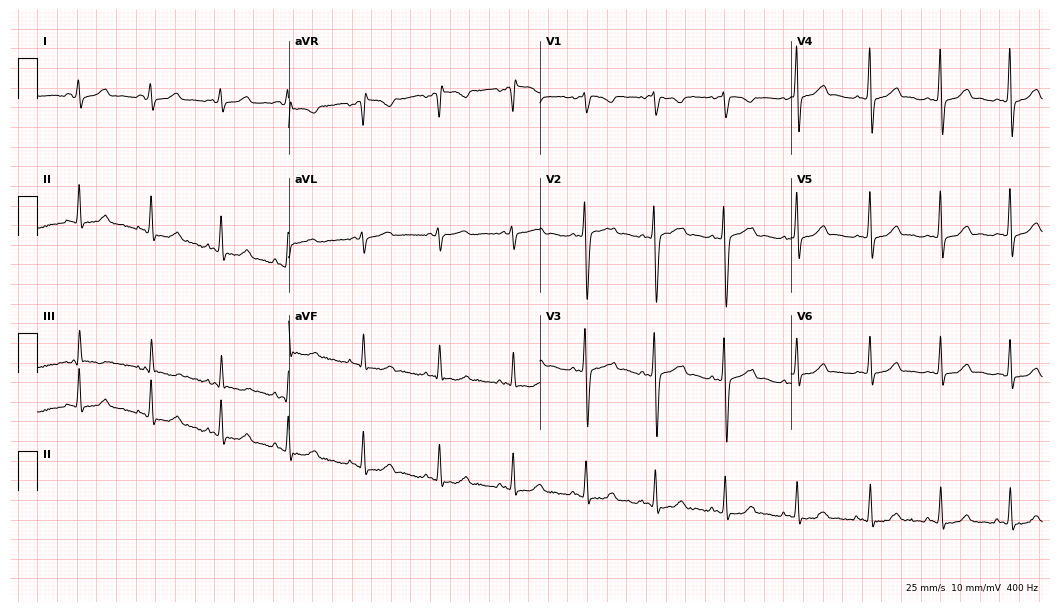
Electrocardiogram, a 20-year-old woman. Overall reading on record: normal ECG.